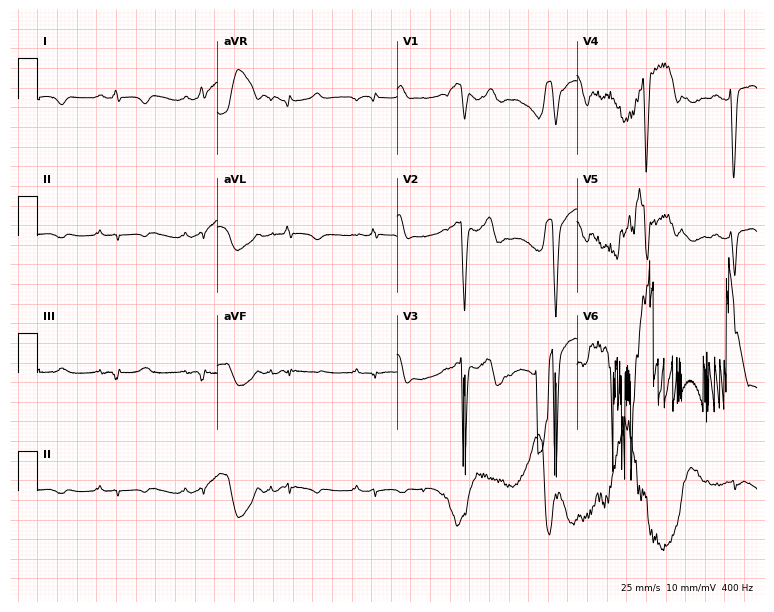
Electrocardiogram (7.3-second recording at 400 Hz), a male patient, 59 years old. Of the six screened findings (first-degree AV block, right bundle branch block, left bundle branch block, sinus bradycardia, atrial fibrillation, sinus tachycardia), none is recorded. Other findings, if any, are not listed.